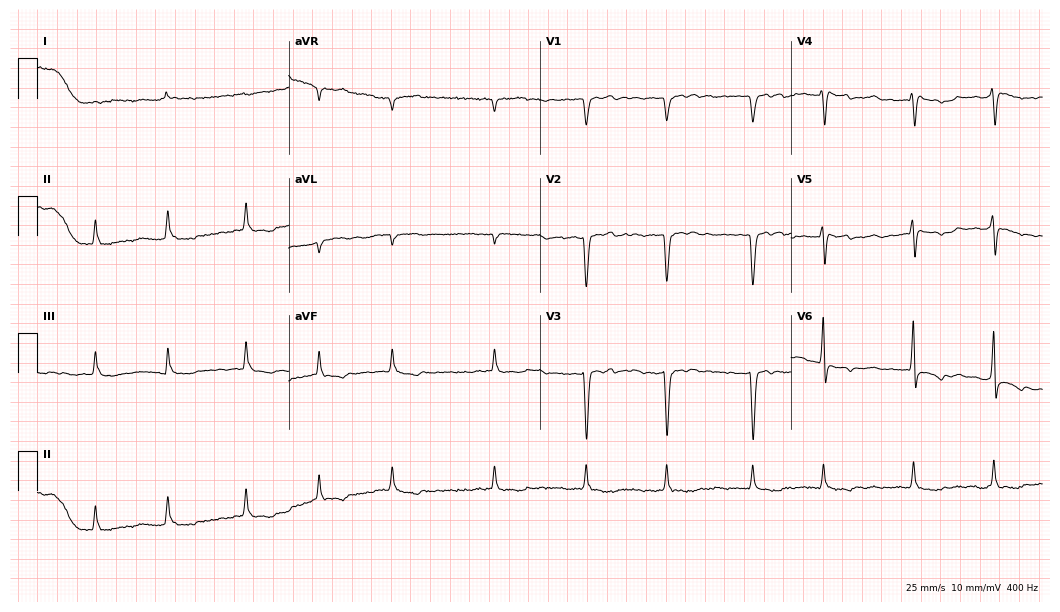
12-lead ECG from a female, 81 years old. Screened for six findings — first-degree AV block, right bundle branch block, left bundle branch block, sinus bradycardia, atrial fibrillation, sinus tachycardia — none is recorded. Findings outside these six are not listed.